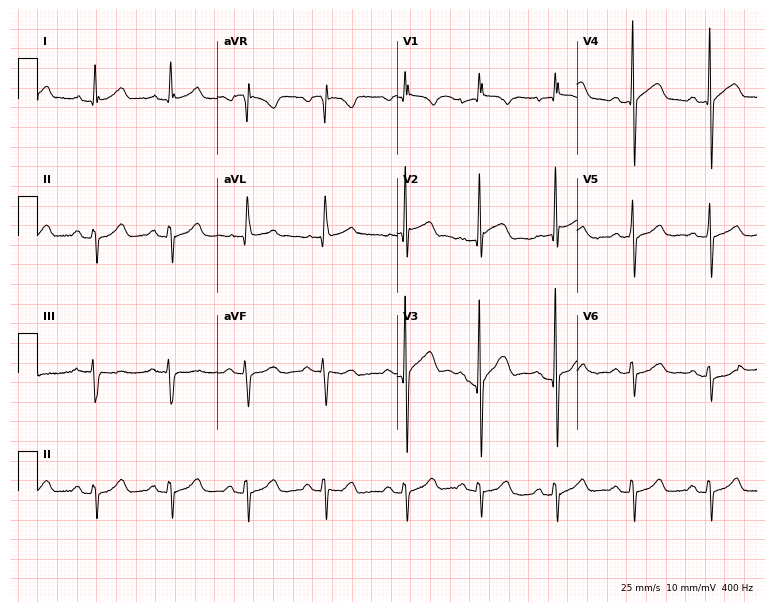
ECG — a man, 70 years old. Labelled as a normal ECG.